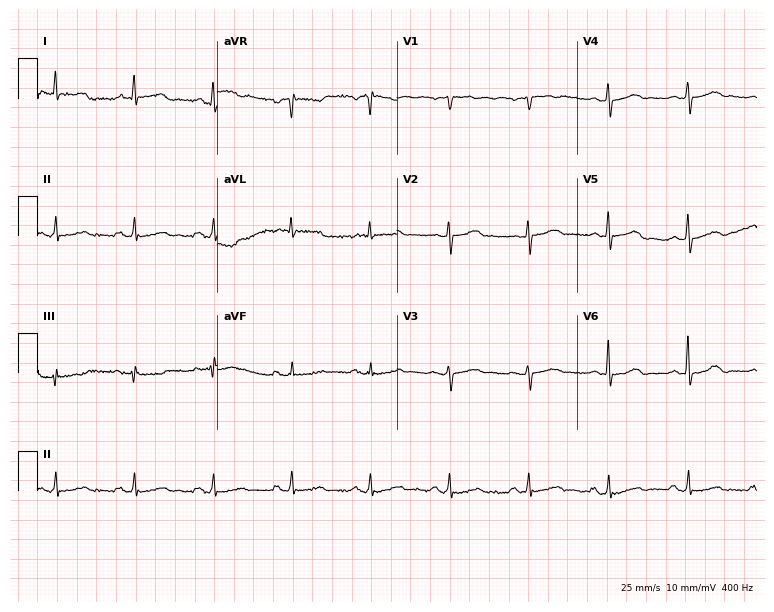
Resting 12-lead electrocardiogram (7.3-second recording at 400 Hz). Patient: a female, 67 years old. Read as a normal ECG.